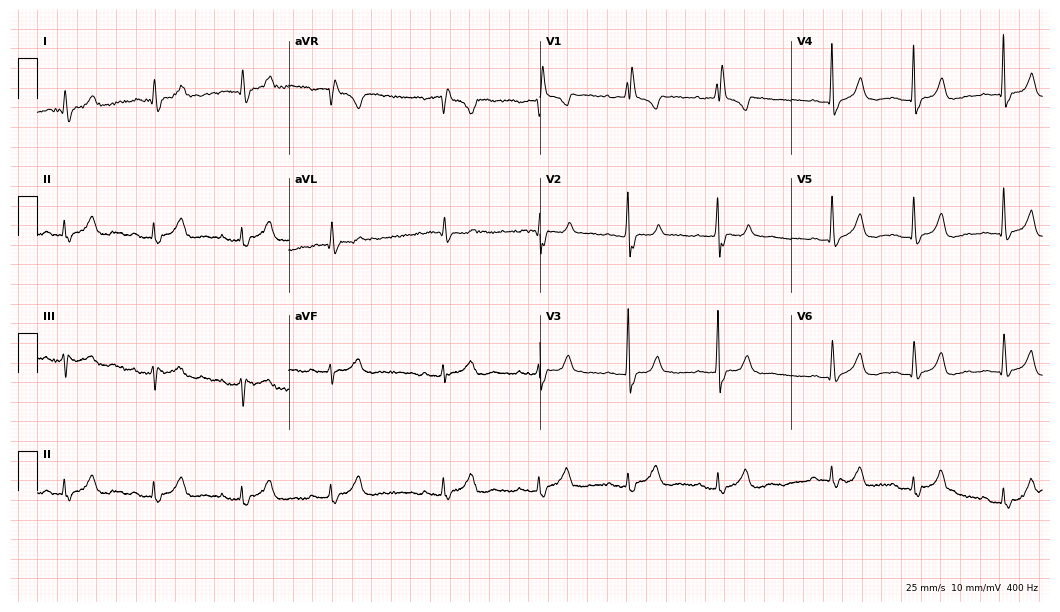
12-lead ECG from a female, 73 years old. Shows right bundle branch block.